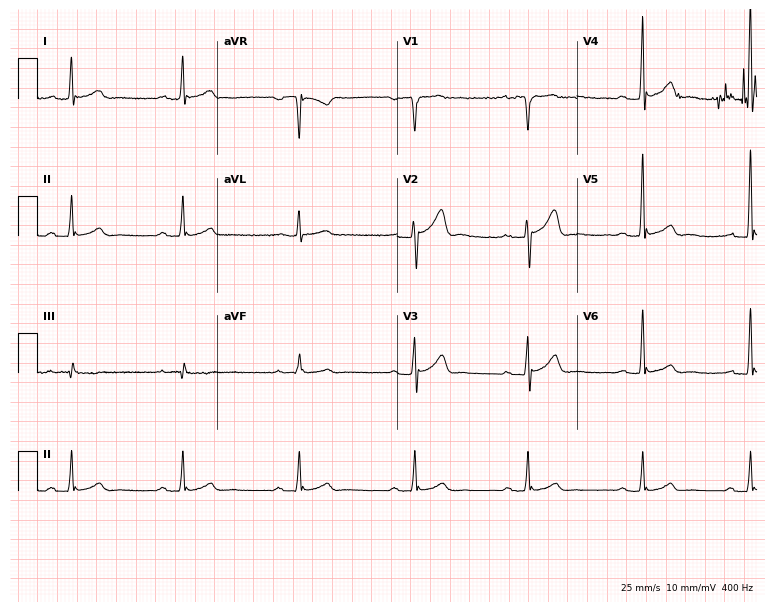
Resting 12-lead electrocardiogram (7.3-second recording at 400 Hz). Patient: a 45-year-old male. The tracing shows first-degree AV block.